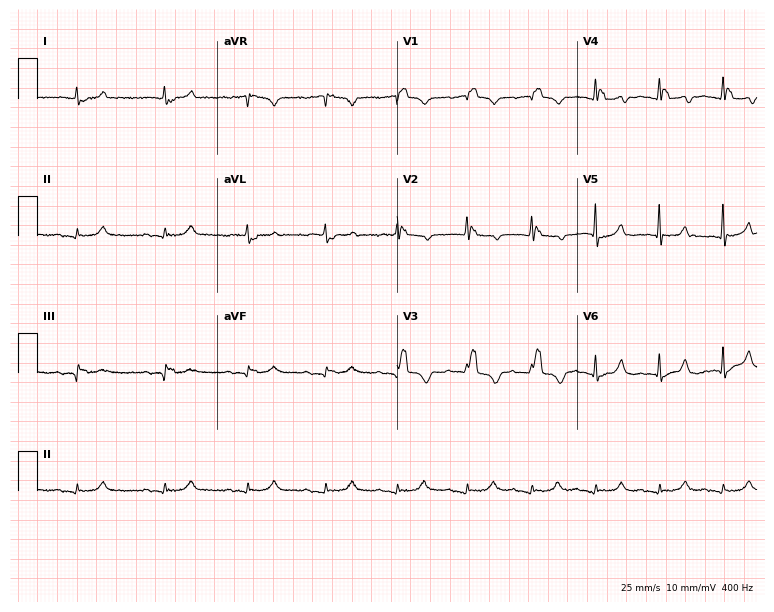
12-lead ECG (7.3-second recording at 400 Hz) from a female, 83 years old. Findings include right bundle branch block (RBBB).